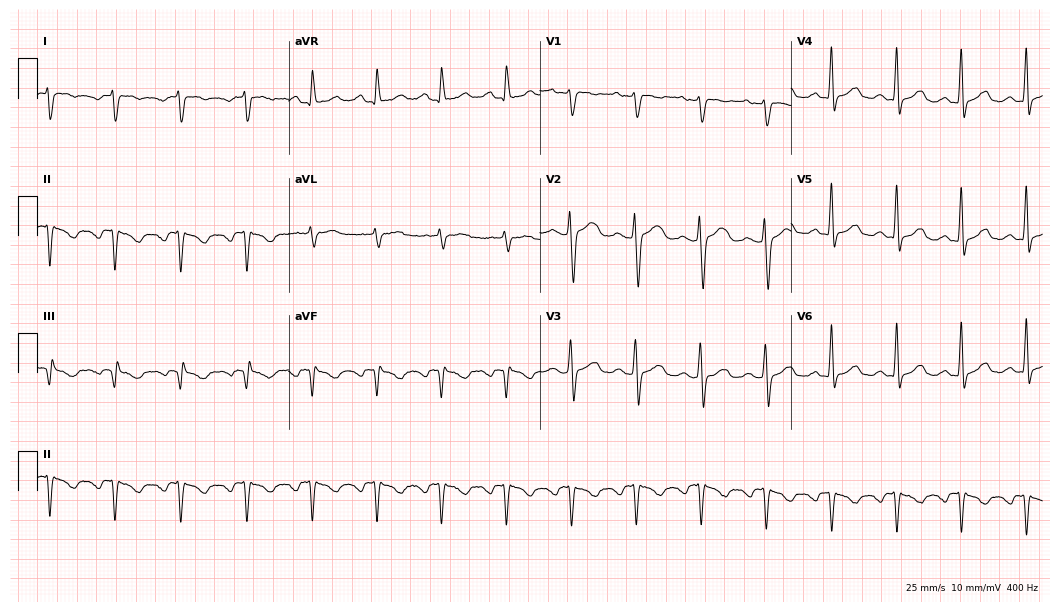
12-lead ECG (10.2-second recording at 400 Hz) from a 32-year-old female patient. Screened for six findings — first-degree AV block, right bundle branch block (RBBB), left bundle branch block (LBBB), sinus bradycardia, atrial fibrillation (AF), sinus tachycardia — none is recorded. Findings outside these six are not listed.